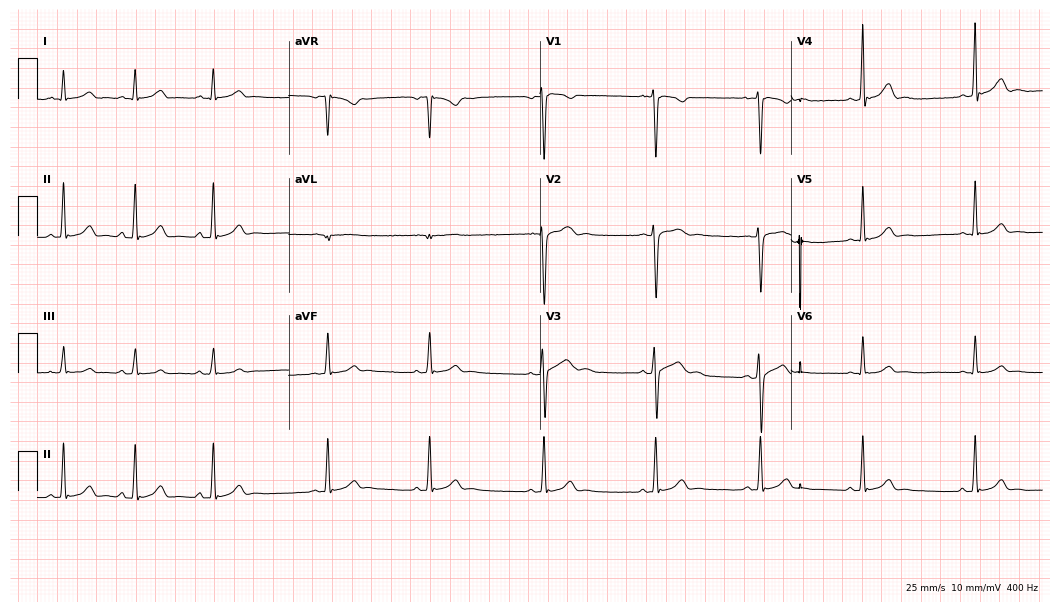
12-lead ECG from a male patient, 17 years old (10.2-second recording at 400 Hz). Recorded interpretation: within normal limits.